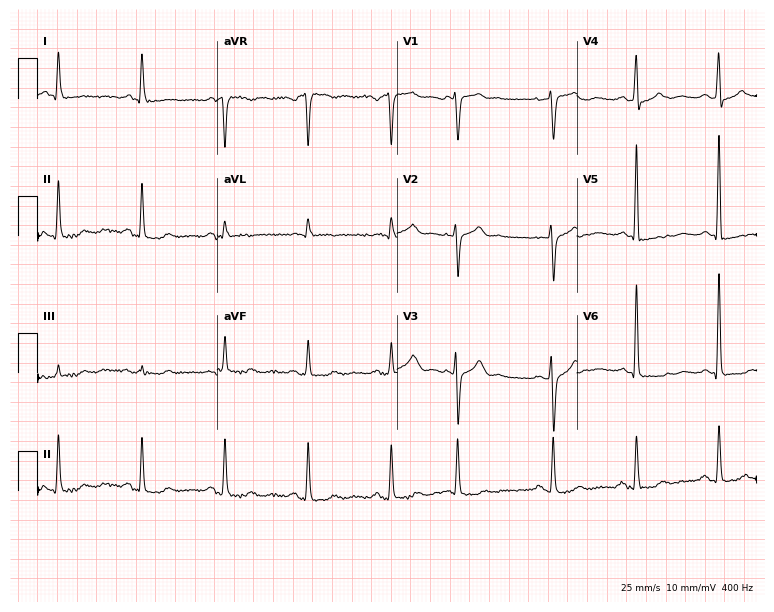
ECG — a female, 67 years old. Screened for six findings — first-degree AV block, right bundle branch block (RBBB), left bundle branch block (LBBB), sinus bradycardia, atrial fibrillation (AF), sinus tachycardia — none is recorded. Only these six findings were labelled.